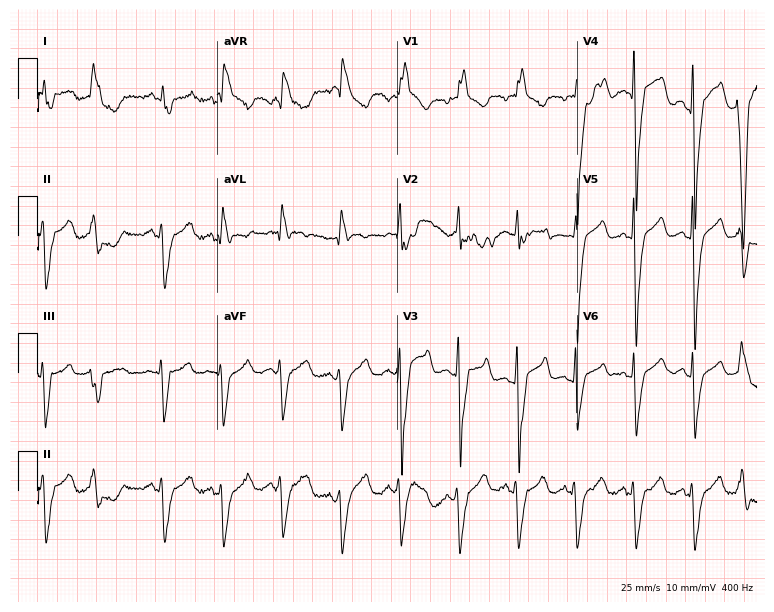
Standard 12-lead ECG recorded from a male, 55 years old. The tracing shows right bundle branch block.